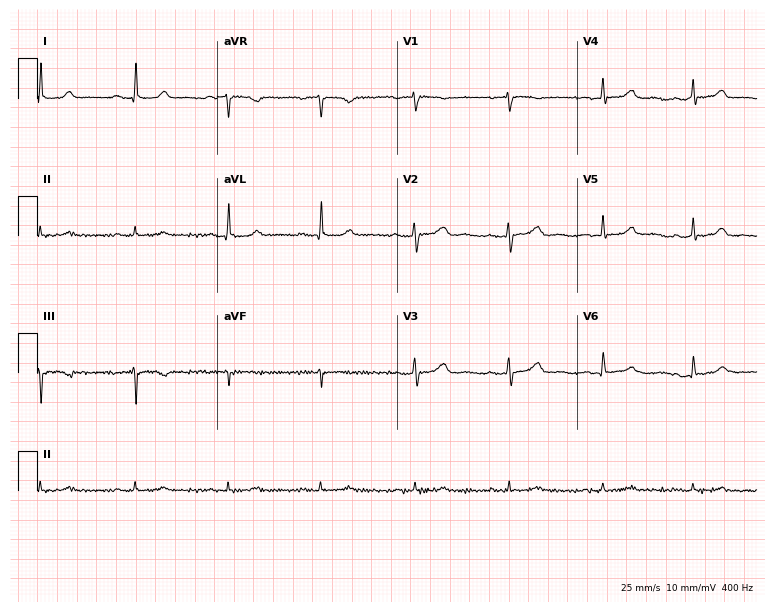
Standard 12-lead ECG recorded from a 51-year-old female. None of these six findings is recorded: first-degree AV block, right bundle branch block (RBBB), left bundle branch block (LBBB), sinus bradycardia, atrial fibrillation (AF), sinus tachycardia. Other findings, if any, are not listed.